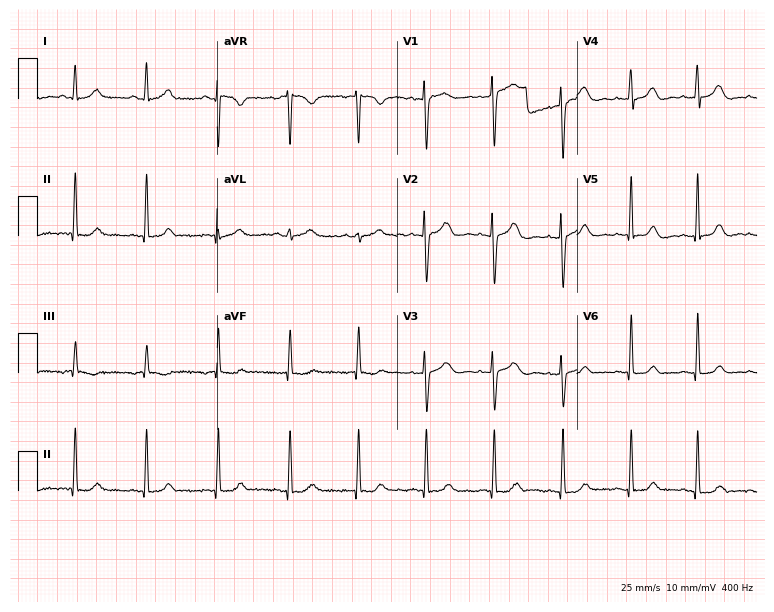
Standard 12-lead ECG recorded from a female patient, 43 years old. Read as a normal ECG.